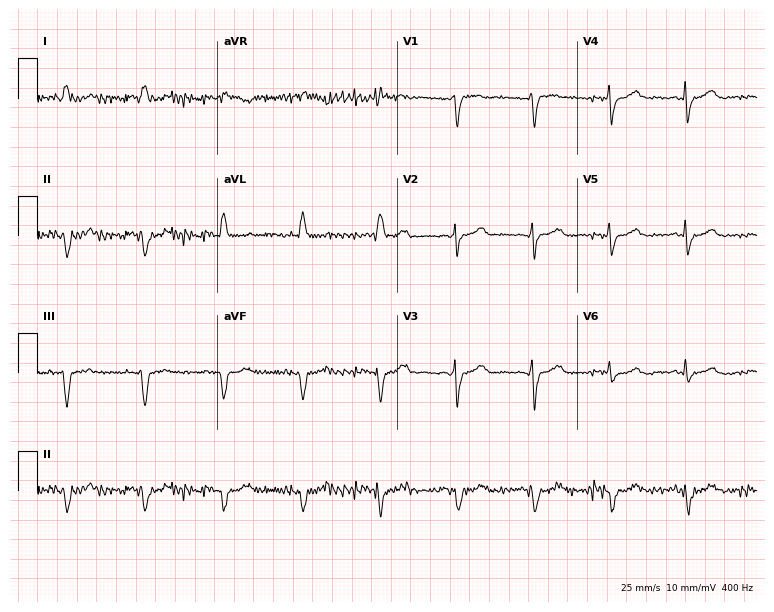
ECG — a male, 68 years old. Screened for six findings — first-degree AV block, right bundle branch block (RBBB), left bundle branch block (LBBB), sinus bradycardia, atrial fibrillation (AF), sinus tachycardia — none is recorded.